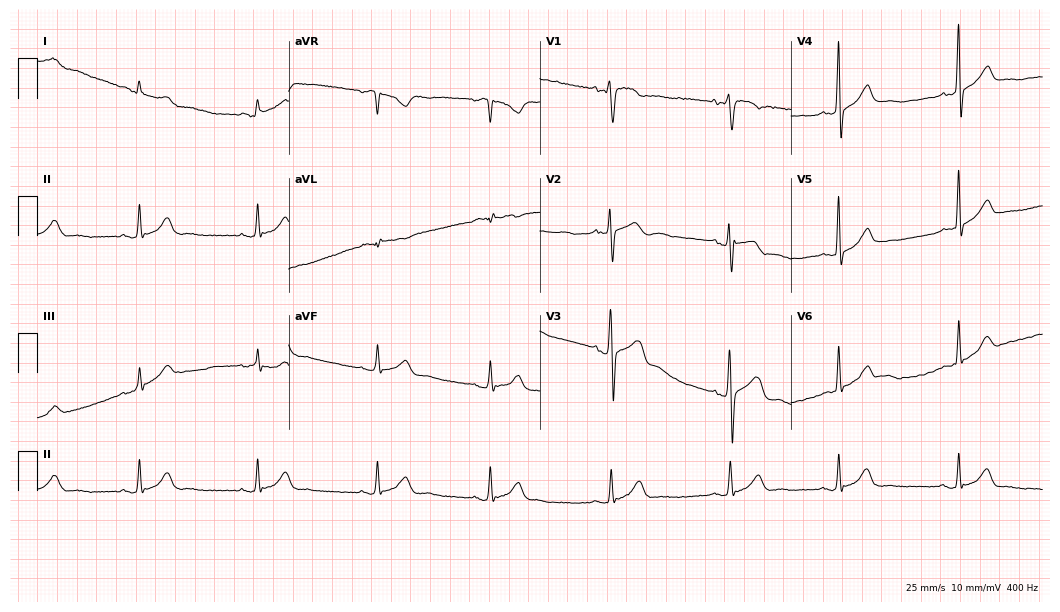
ECG — a 28-year-old man. Screened for six findings — first-degree AV block, right bundle branch block, left bundle branch block, sinus bradycardia, atrial fibrillation, sinus tachycardia — none is recorded. Only these six findings were labelled.